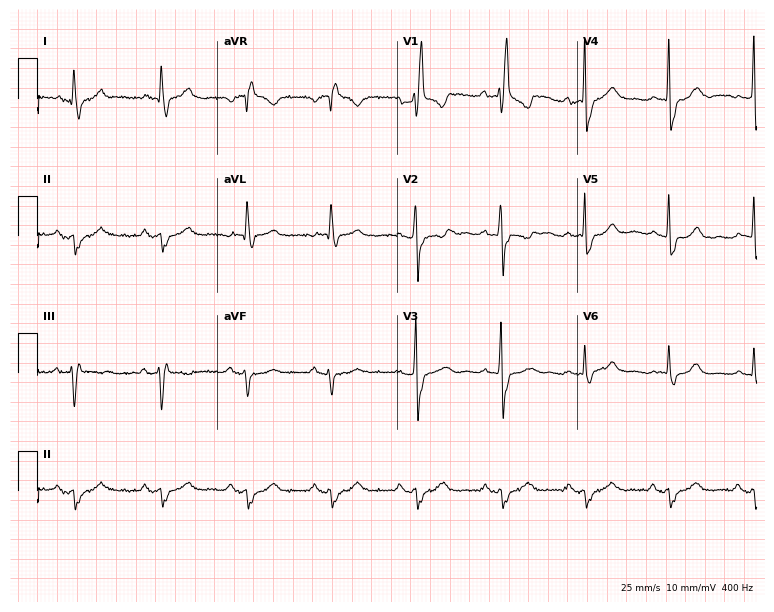
12-lead ECG from a 71-year-old male patient. Shows right bundle branch block.